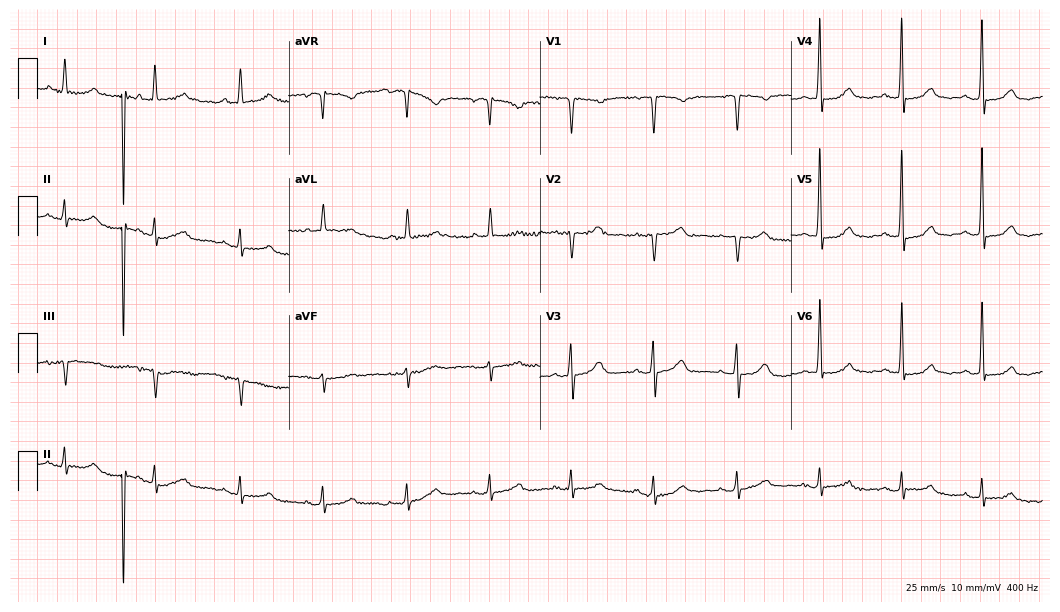
ECG (10.2-second recording at 400 Hz) — a 63-year-old female patient. Labelled as a normal ECG.